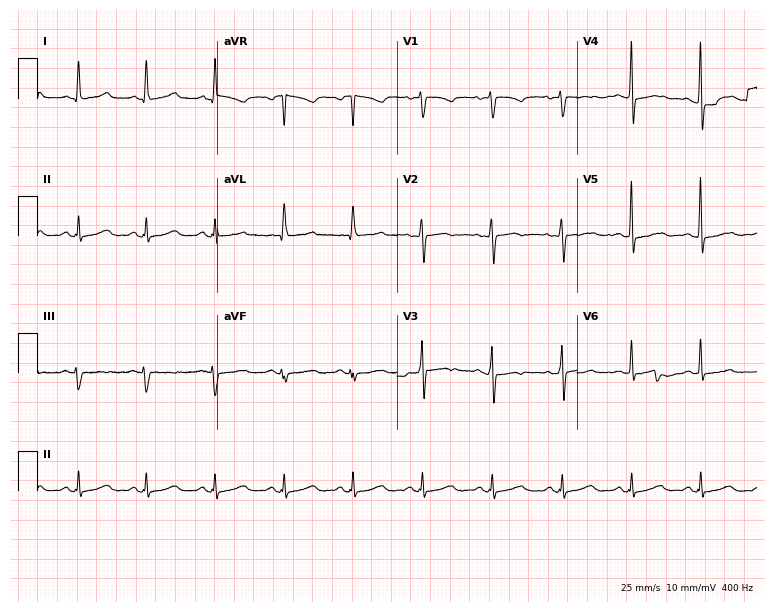
Electrocardiogram, a female, 35 years old. Overall reading on record: normal ECG.